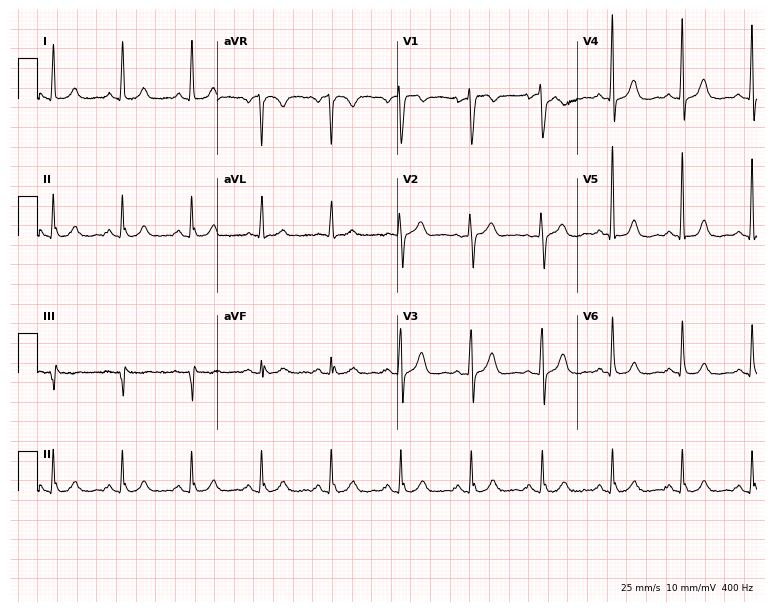
Standard 12-lead ECG recorded from a female, 65 years old (7.3-second recording at 400 Hz). None of these six findings is recorded: first-degree AV block, right bundle branch block, left bundle branch block, sinus bradycardia, atrial fibrillation, sinus tachycardia.